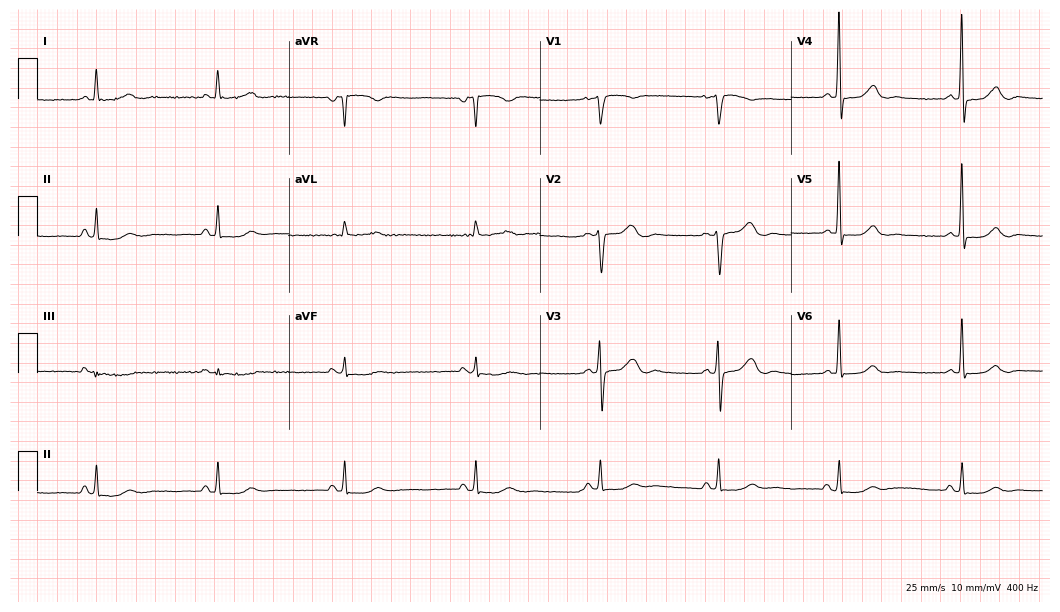
Electrocardiogram (10.2-second recording at 400 Hz), a female, 57 years old. Of the six screened findings (first-degree AV block, right bundle branch block, left bundle branch block, sinus bradycardia, atrial fibrillation, sinus tachycardia), none is recorded. Other findings, if any, are not listed.